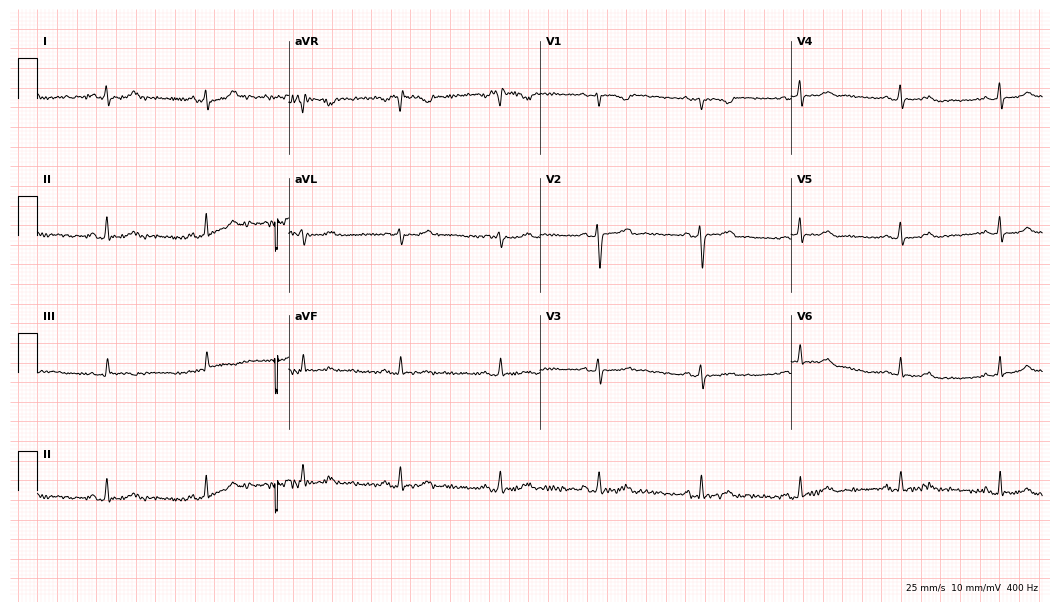
Standard 12-lead ECG recorded from a 39-year-old female patient (10.2-second recording at 400 Hz). Read as a normal ECG.